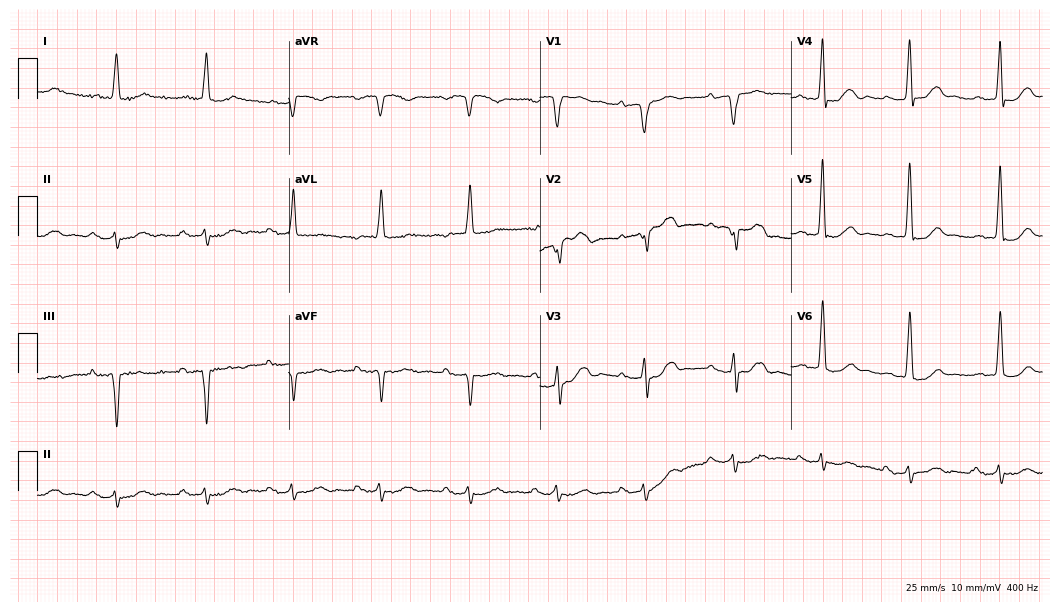
12-lead ECG from an 84-year-old male (10.2-second recording at 400 Hz). No first-degree AV block, right bundle branch block, left bundle branch block, sinus bradycardia, atrial fibrillation or sinus tachycardia recorded for this tracing. Findings outside these six are not listed.